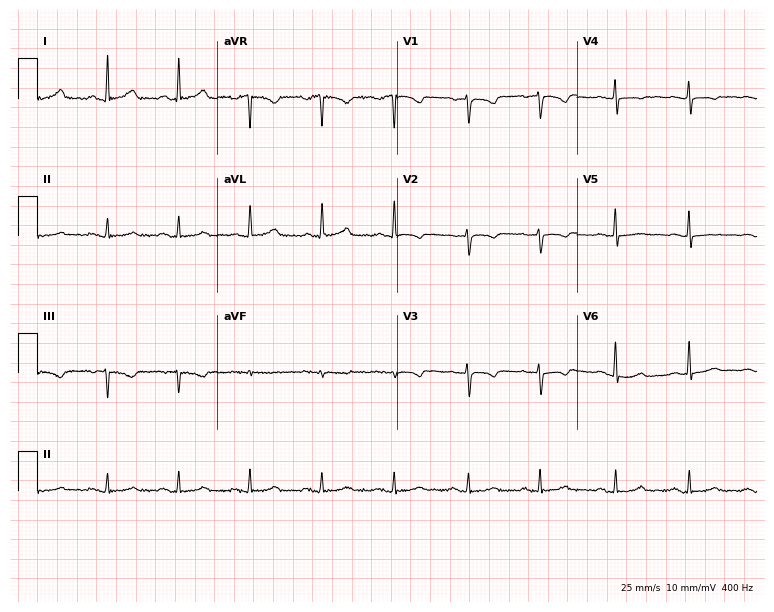
ECG (7.3-second recording at 400 Hz) — a female patient, 59 years old. Screened for six findings — first-degree AV block, right bundle branch block, left bundle branch block, sinus bradycardia, atrial fibrillation, sinus tachycardia — none is recorded. Findings outside these six are not listed.